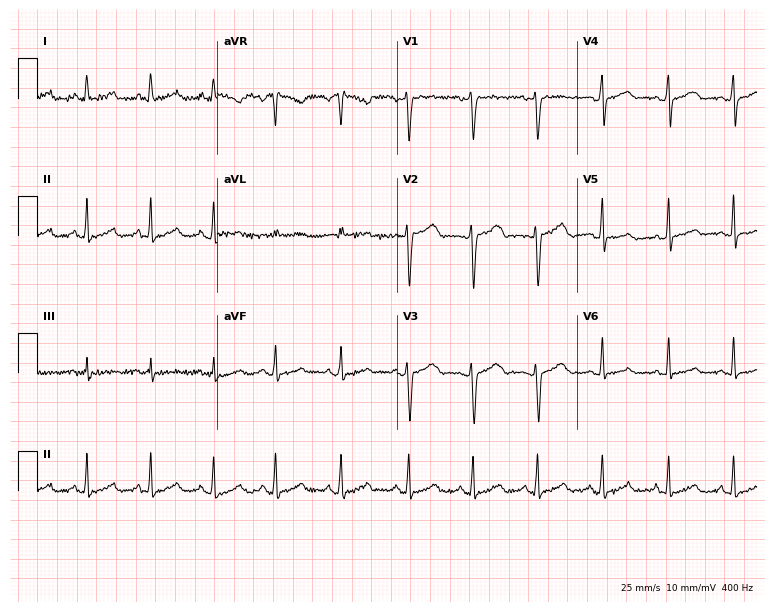
Electrocardiogram, a female patient, 27 years old. Overall reading on record: normal ECG.